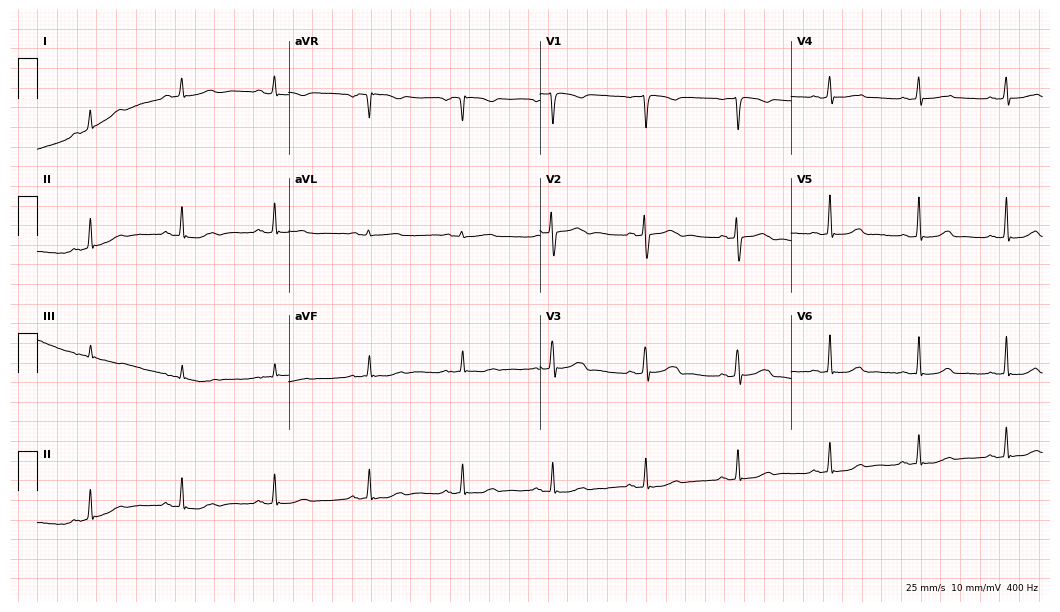
Electrocardiogram (10.2-second recording at 400 Hz), a 28-year-old female. Overall reading on record: normal ECG.